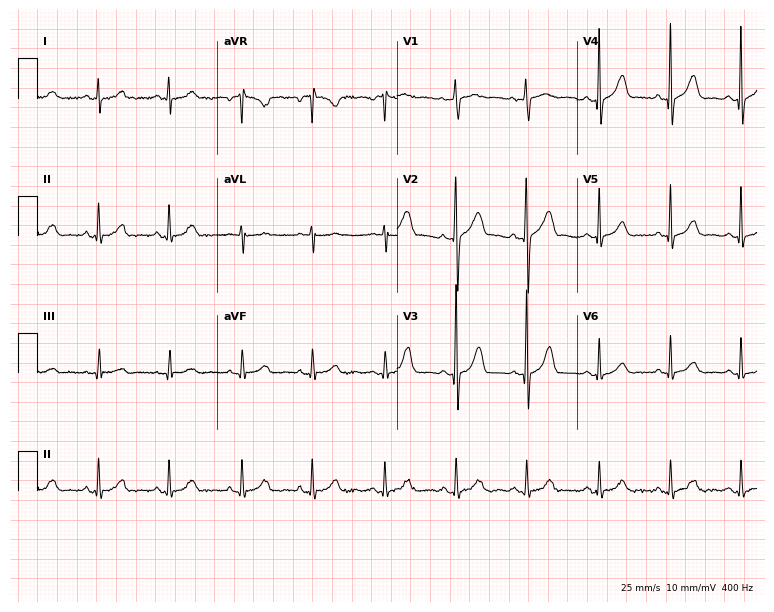
Standard 12-lead ECG recorded from a female patient, 27 years old (7.3-second recording at 400 Hz). Read as a normal ECG.